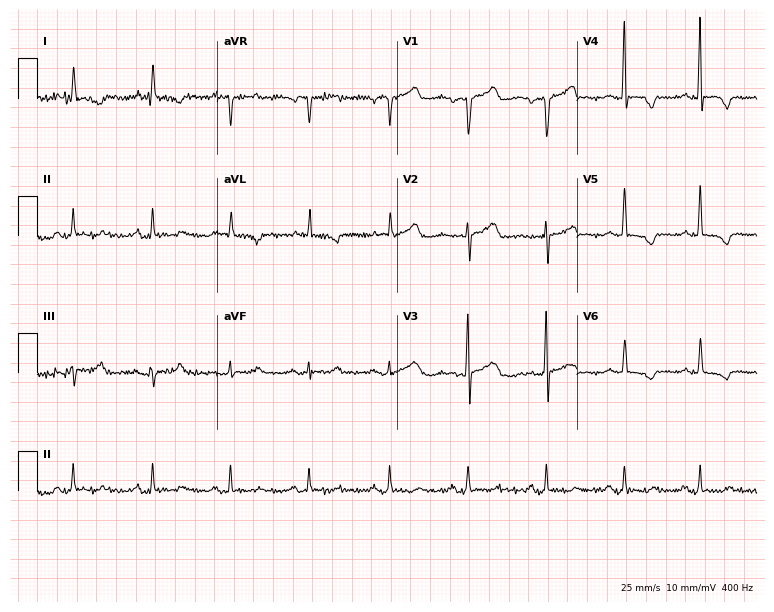
Standard 12-lead ECG recorded from a 74-year-old female patient. None of these six findings is recorded: first-degree AV block, right bundle branch block, left bundle branch block, sinus bradycardia, atrial fibrillation, sinus tachycardia.